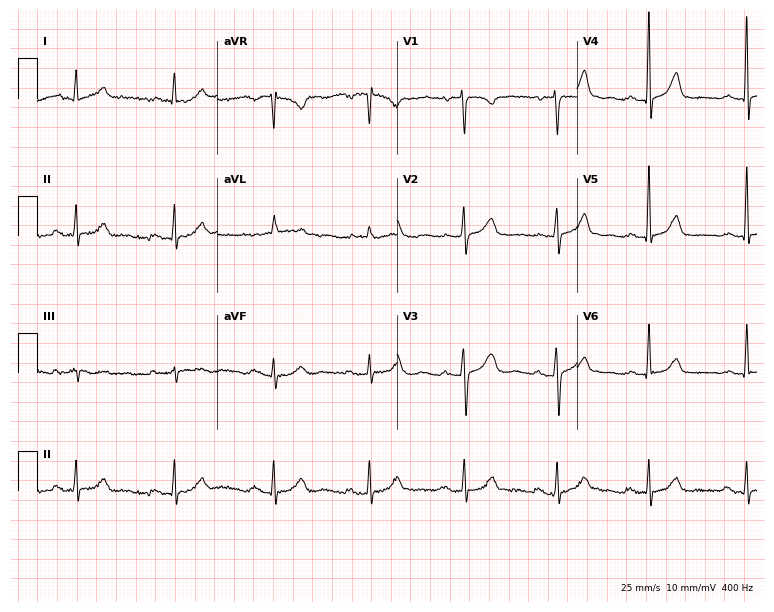
ECG (7.3-second recording at 400 Hz) — a woman, 68 years old. Findings include first-degree AV block.